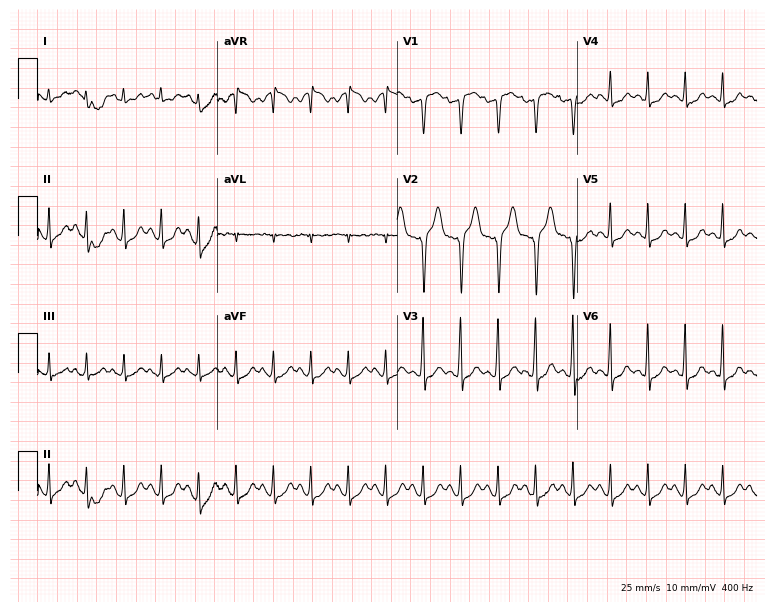
ECG (7.3-second recording at 400 Hz) — a woman, 30 years old. Findings include sinus tachycardia (a sinus rate of 100 beats per minute or more).